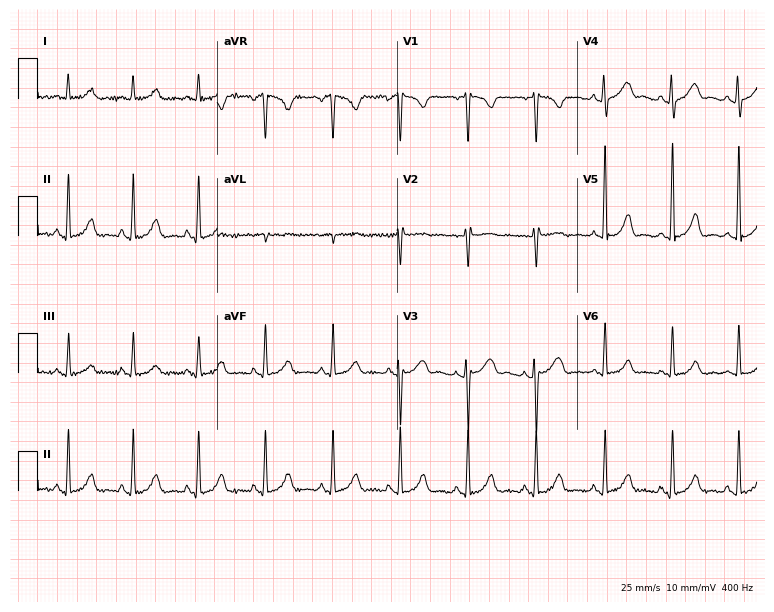
12-lead ECG from a woman, 46 years old. No first-degree AV block, right bundle branch block, left bundle branch block, sinus bradycardia, atrial fibrillation or sinus tachycardia recorded for this tracing.